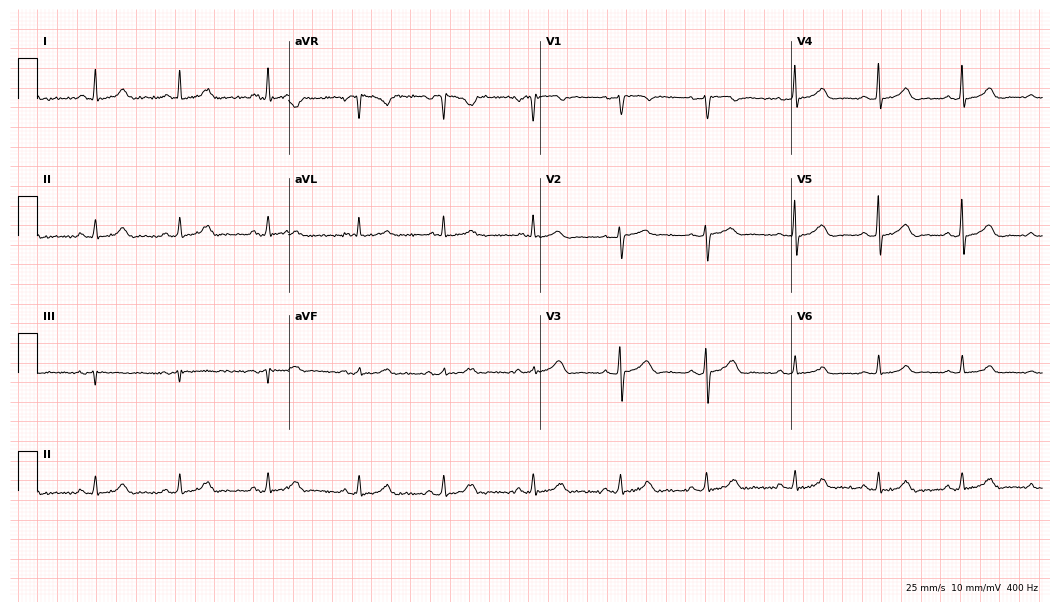
12-lead ECG from a 45-year-old woman. Recorded interpretation: within normal limits.